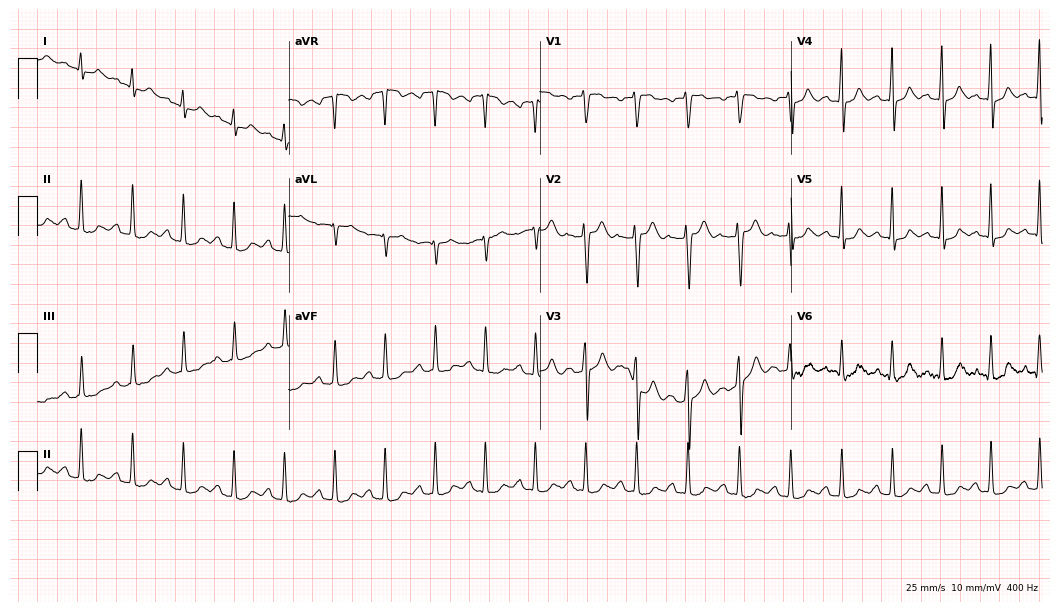
Standard 12-lead ECG recorded from a woman, 43 years old. The tracing shows sinus tachycardia (a sinus rate of 100 beats per minute or more).